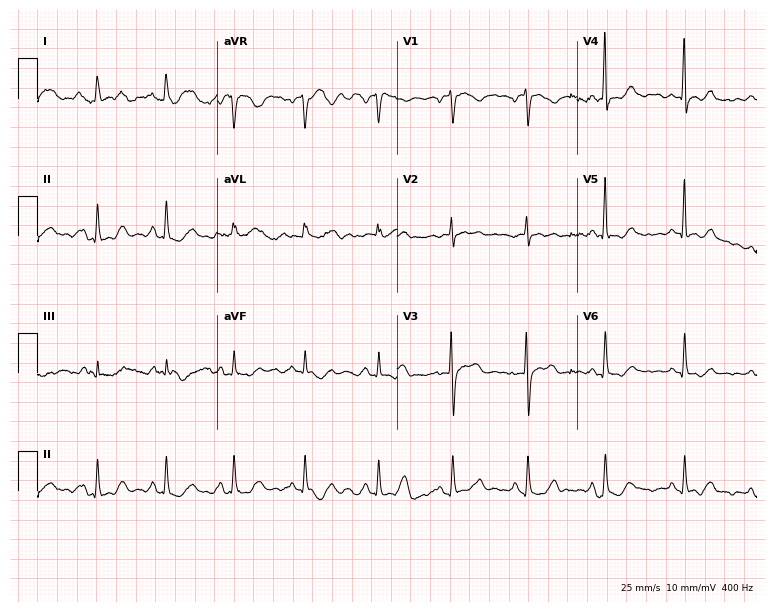
Electrocardiogram, an 83-year-old woman. Of the six screened findings (first-degree AV block, right bundle branch block, left bundle branch block, sinus bradycardia, atrial fibrillation, sinus tachycardia), none is recorded.